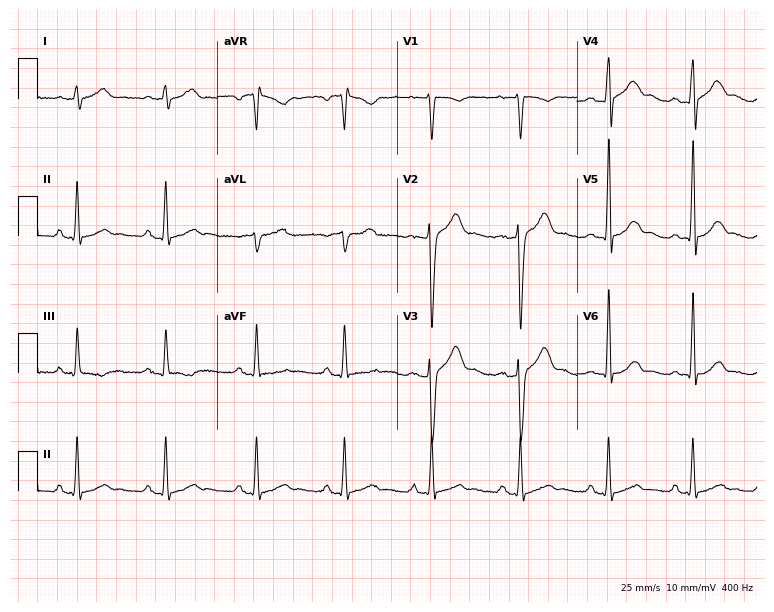
Resting 12-lead electrocardiogram. Patient: a man, 38 years old. Read as a normal ECG.